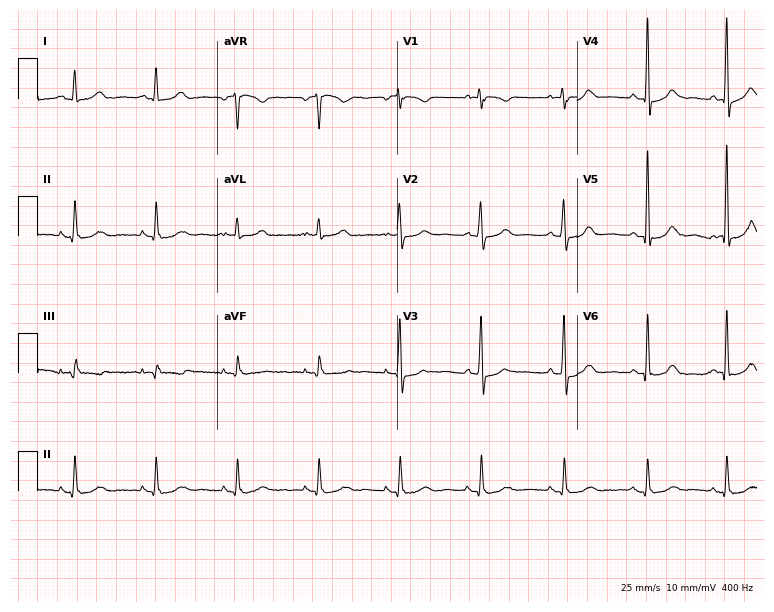
Resting 12-lead electrocardiogram (7.3-second recording at 400 Hz). Patient: a female, 54 years old. None of these six findings is recorded: first-degree AV block, right bundle branch block, left bundle branch block, sinus bradycardia, atrial fibrillation, sinus tachycardia. Other findings, if any, are not listed.